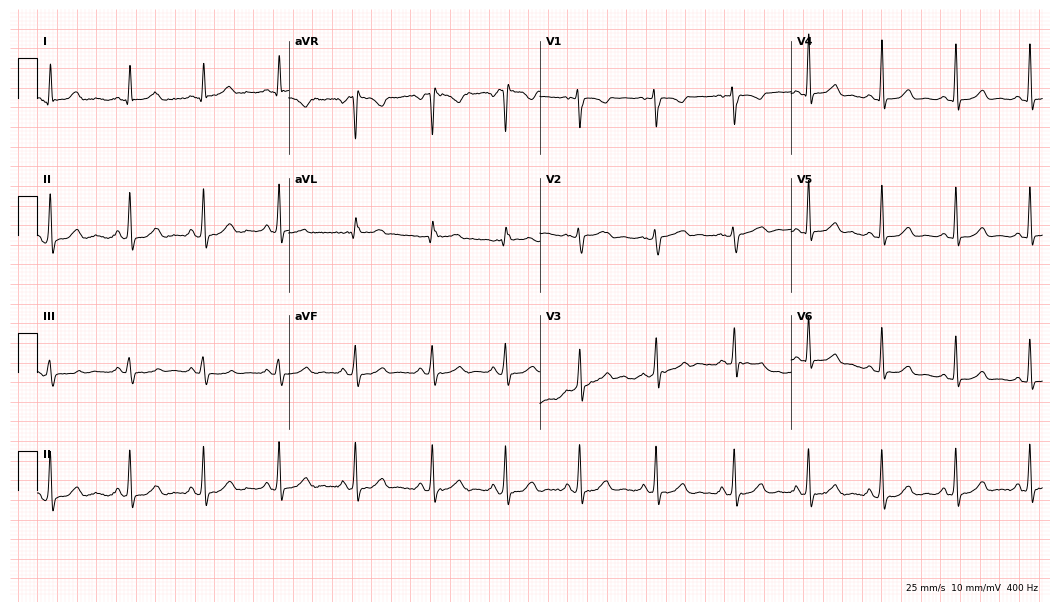
12-lead ECG from a female patient, 35 years old. Recorded interpretation: within normal limits.